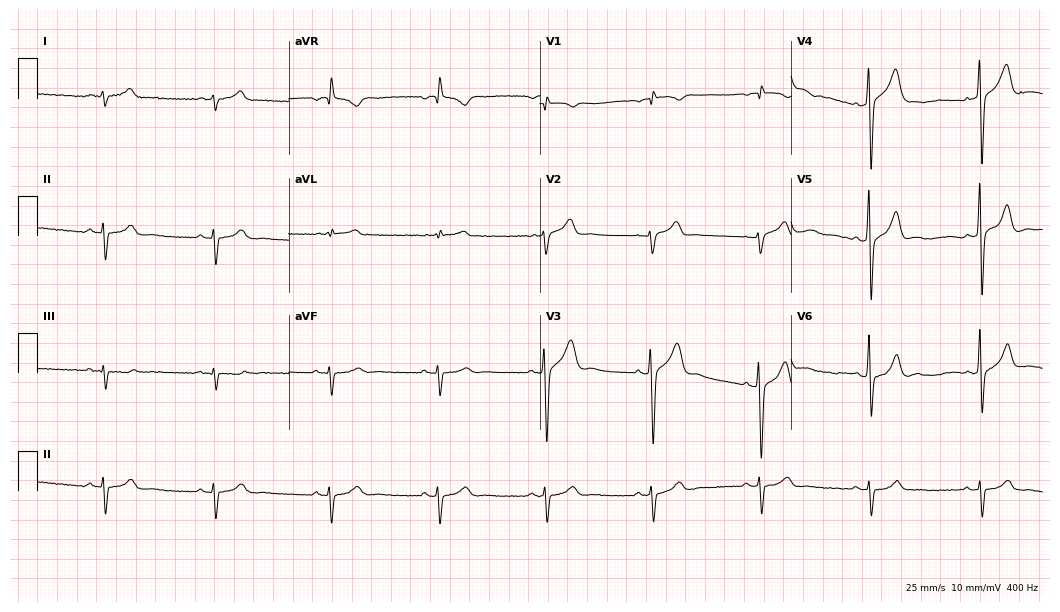
ECG — a 44-year-old male. Screened for six findings — first-degree AV block, right bundle branch block (RBBB), left bundle branch block (LBBB), sinus bradycardia, atrial fibrillation (AF), sinus tachycardia — none is recorded.